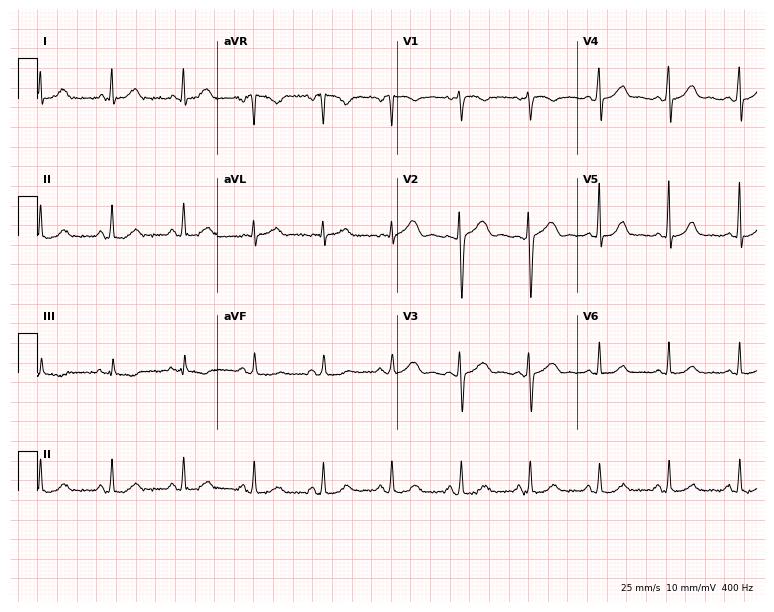
ECG — a 40-year-old female patient. Screened for six findings — first-degree AV block, right bundle branch block, left bundle branch block, sinus bradycardia, atrial fibrillation, sinus tachycardia — none is recorded. Findings outside these six are not listed.